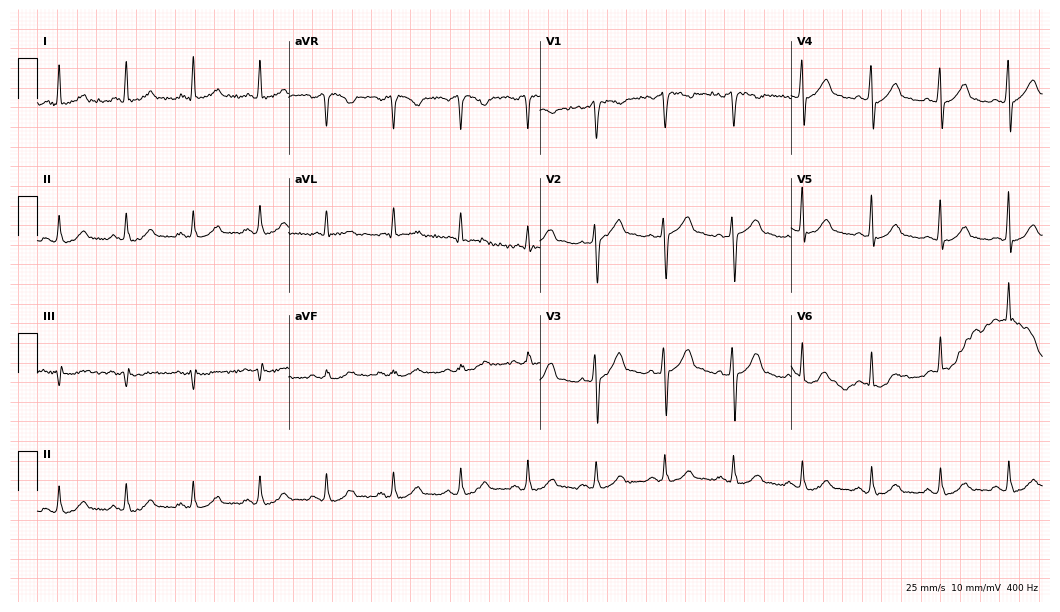
Electrocardiogram (10.2-second recording at 400 Hz), a 51-year-old man. Overall reading on record: normal ECG.